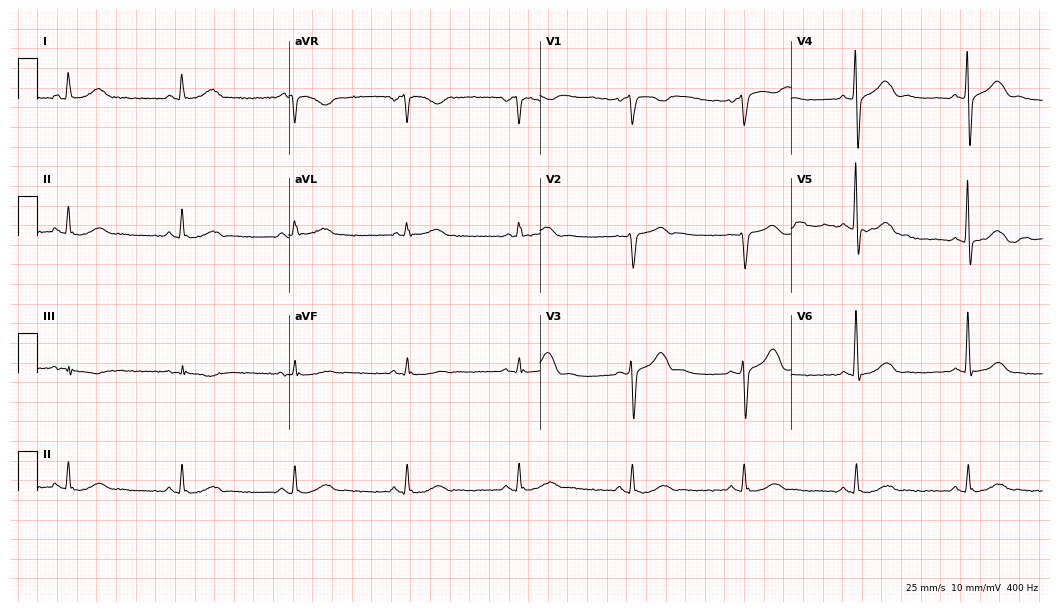
Resting 12-lead electrocardiogram (10.2-second recording at 400 Hz). Patient: a male, 68 years old. Read as a normal ECG.